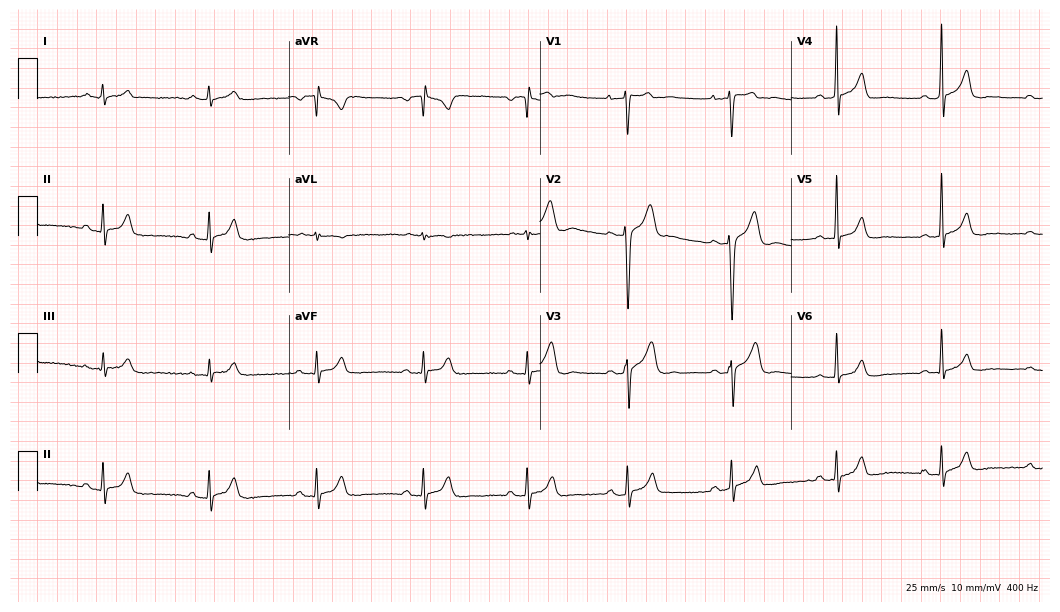
Resting 12-lead electrocardiogram. Patient: a 23-year-old male. None of these six findings is recorded: first-degree AV block, right bundle branch block (RBBB), left bundle branch block (LBBB), sinus bradycardia, atrial fibrillation (AF), sinus tachycardia. Findings outside these six are not listed.